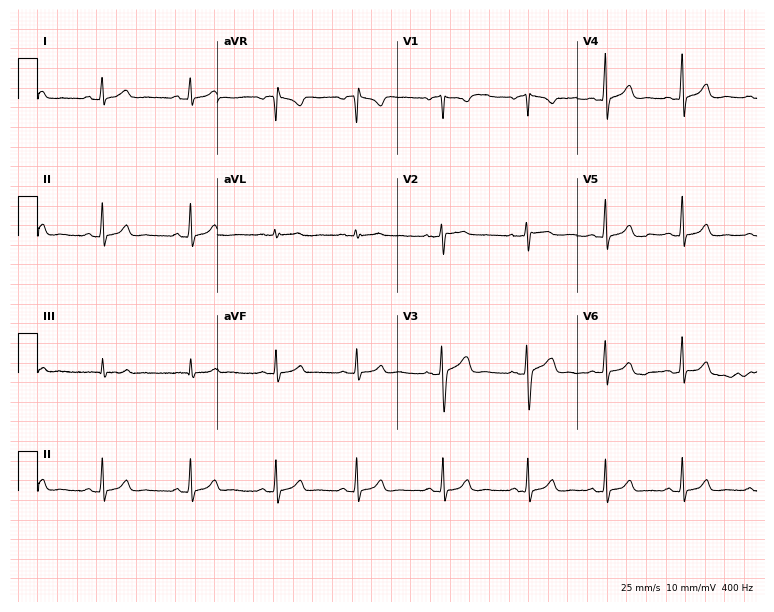
Electrocardiogram (7.3-second recording at 400 Hz), a female patient, 30 years old. Of the six screened findings (first-degree AV block, right bundle branch block (RBBB), left bundle branch block (LBBB), sinus bradycardia, atrial fibrillation (AF), sinus tachycardia), none is recorded. Findings outside these six are not listed.